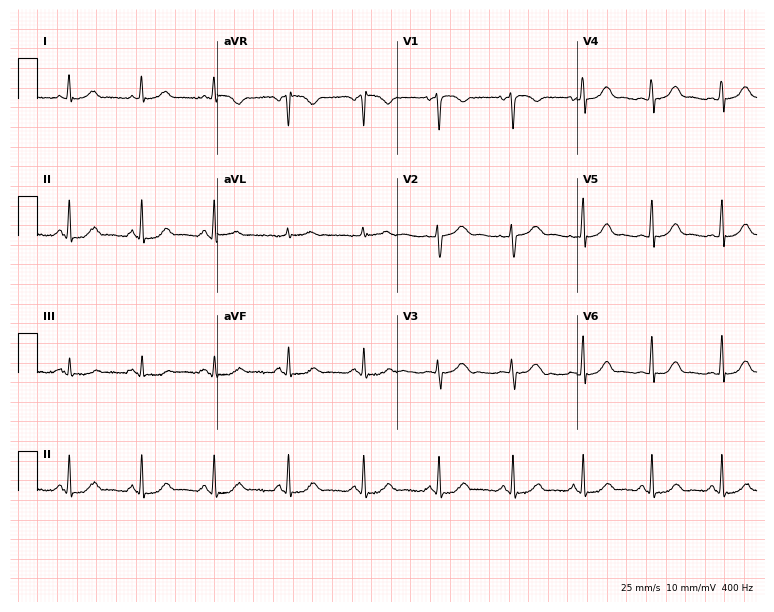
Resting 12-lead electrocardiogram (7.3-second recording at 400 Hz). Patient: a female, 39 years old. None of these six findings is recorded: first-degree AV block, right bundle branch block (RBBB), left bundle branch block (LBBB), sinus bradycardia, atrial fibrillation (AF), sinus tachycardia. Findings outside these six are not listed.